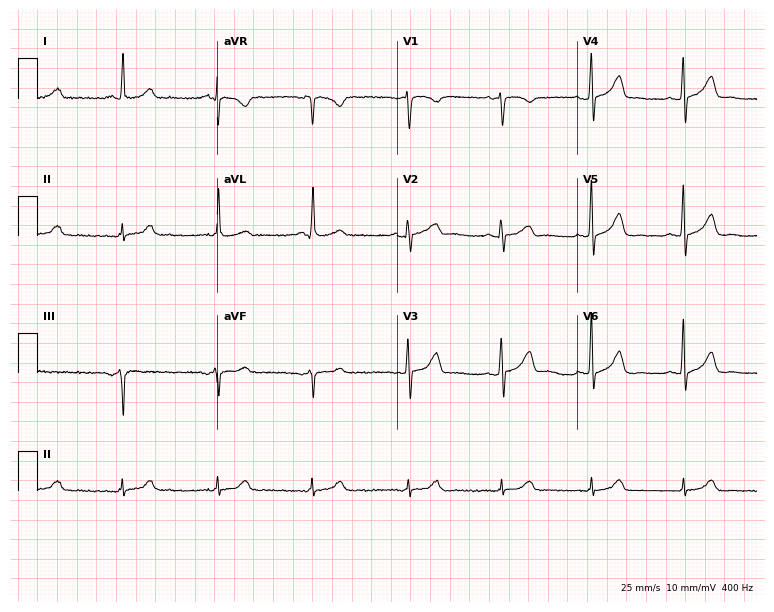
ECG — a woman, 57 years old. Screened for six findings — first-degree AV block, right bundle branch block, left bundle branch block, sinus bradycardia, atrial fibrillation, sinus tachycardia — none is recorded. Findings outside these six are not listed.